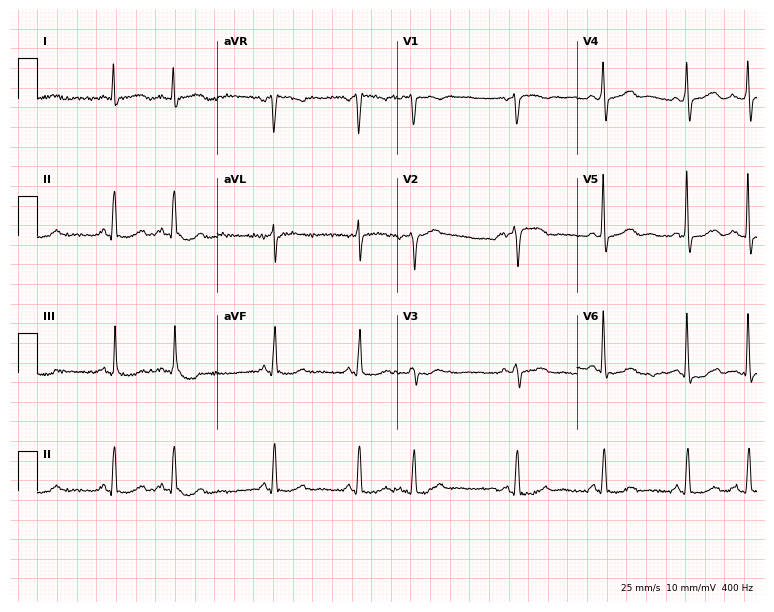
Resting 12-lead electrocardiogram (7.3-second recording at 400 Hz). Patient: a 73-year-old female. None of these six findings is recorded: first-degree AV block, right bundle branch block, left bundle branch block, sinus bradycardia, atrial fibrillation, sinus tachycardia.